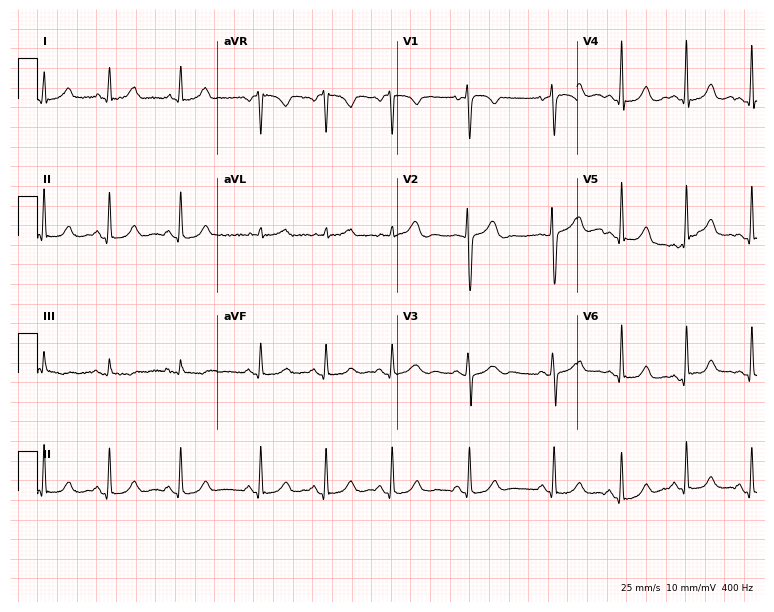
12-lead ECG from a woman, 20 years old. Labelled as a normal ECG.